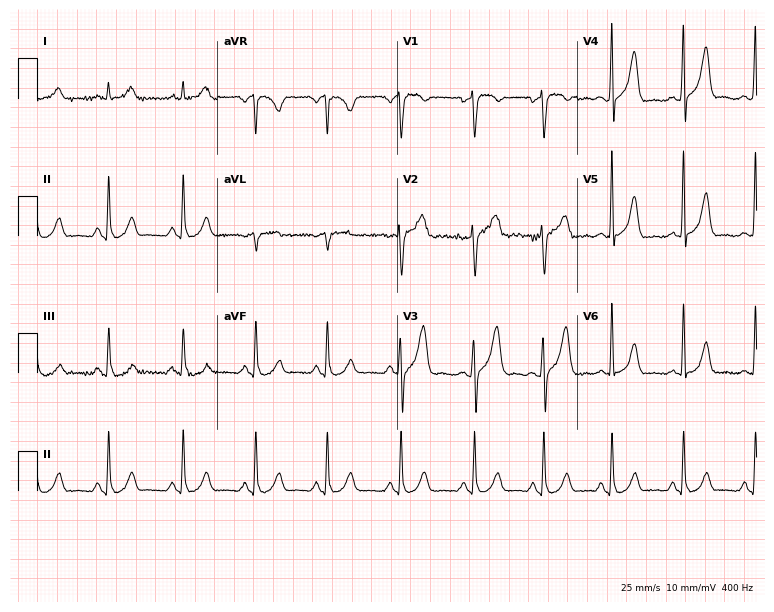
Resting 12-lead electrocardiogram. Patient: a 51-year-old male. None of these six findings is recorded: first-degree AV block, right bundle branch block, left bundle branch block, sinus bradycardia, atrial fibrillation, sinus tachycardia.